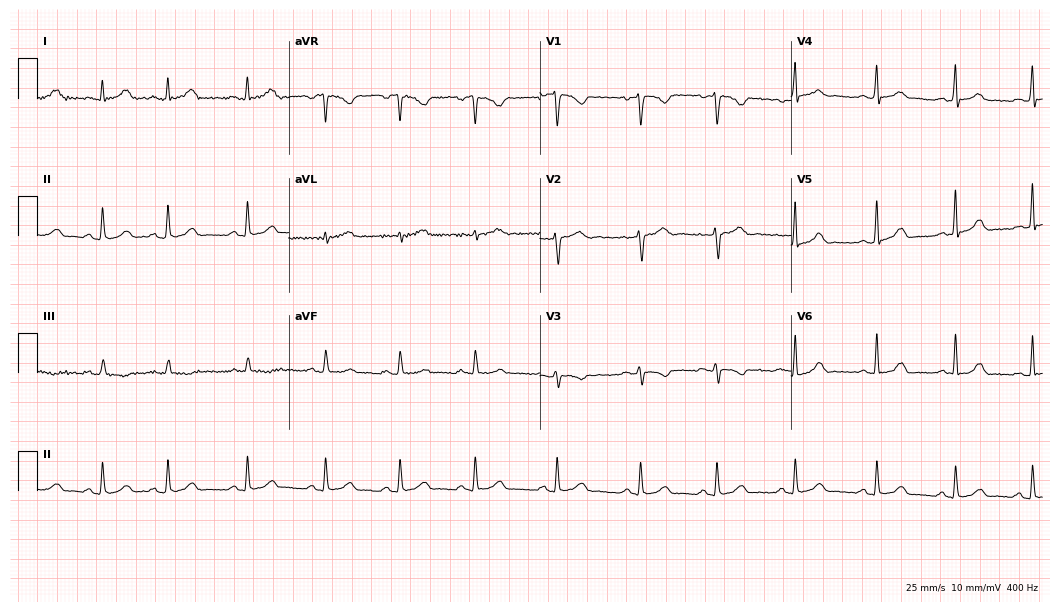
ECG — a 19-year-old female patient. Screened for six findings — first-degree AV block, right bundle branch block, left bundle branch block, sinus bradycardia, atrial fibrillation, sinus tachycardia — none is recorded. Other findings, if any, are not listed.